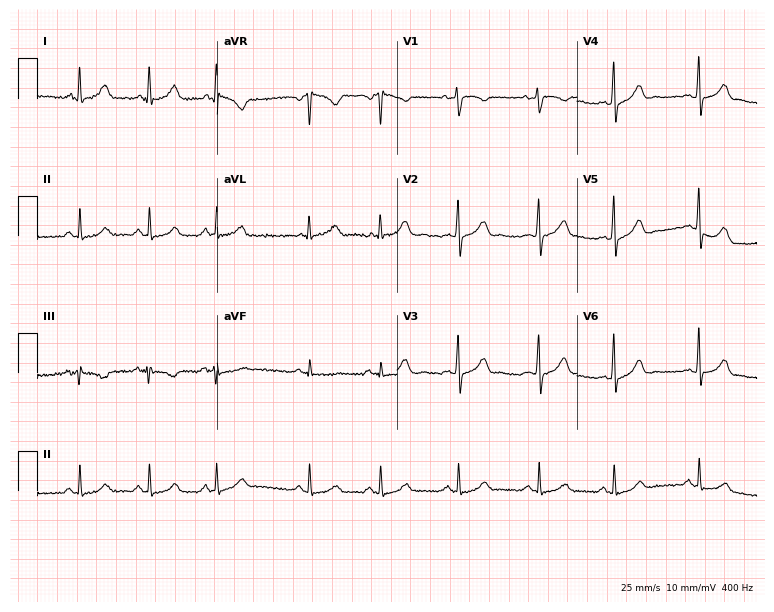
Resting 12-lead electrocardiogram. Patient: an 18-year-old woman. Read as a normal ECG.